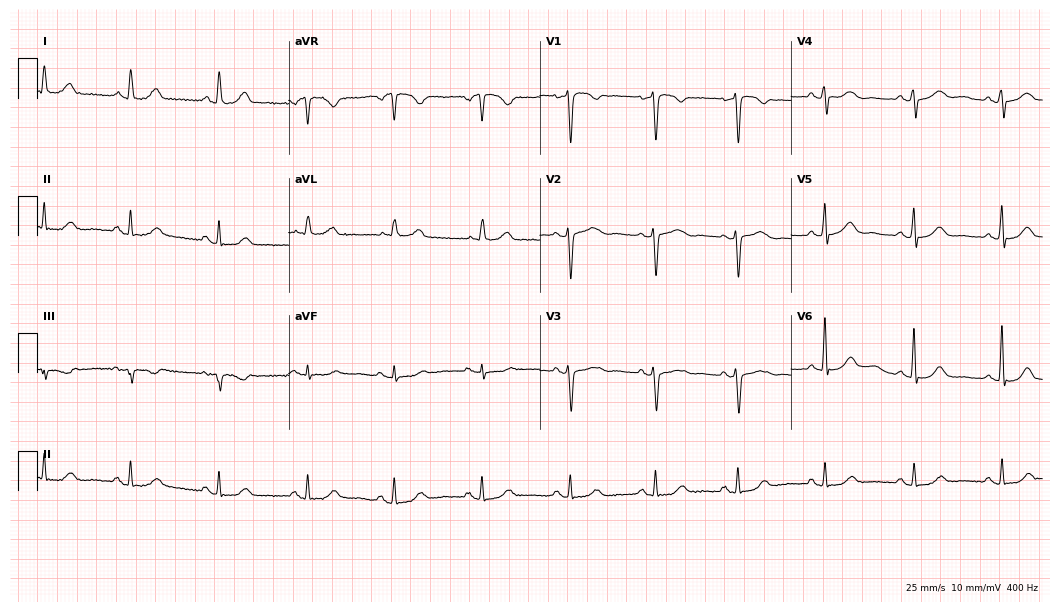
Electrocardiogram (10.2-second recording at 400 Hz), a 55-year-old female. Of the six screened findings (first-degree AV block, right bundle branch block, left bundle branch block, sinus bradycardia, atrial fibrillation, sinus tachycardia), none is recorded.